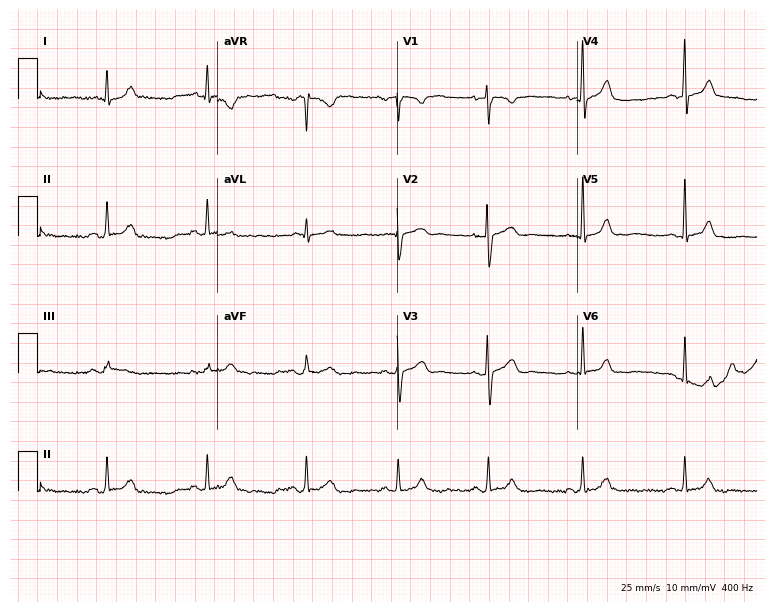
12-lead ECG from a woman, 33 years old. Labelled as a normal ECG.